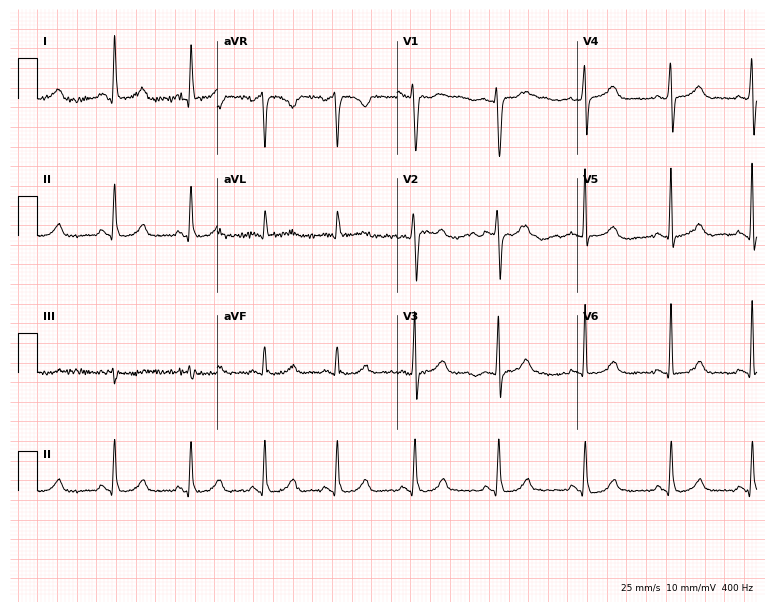
Electrocardiogram (7.3-second recording at 400 Hz), a 42-year-old female patient. Overall reading on record: normal ECG.